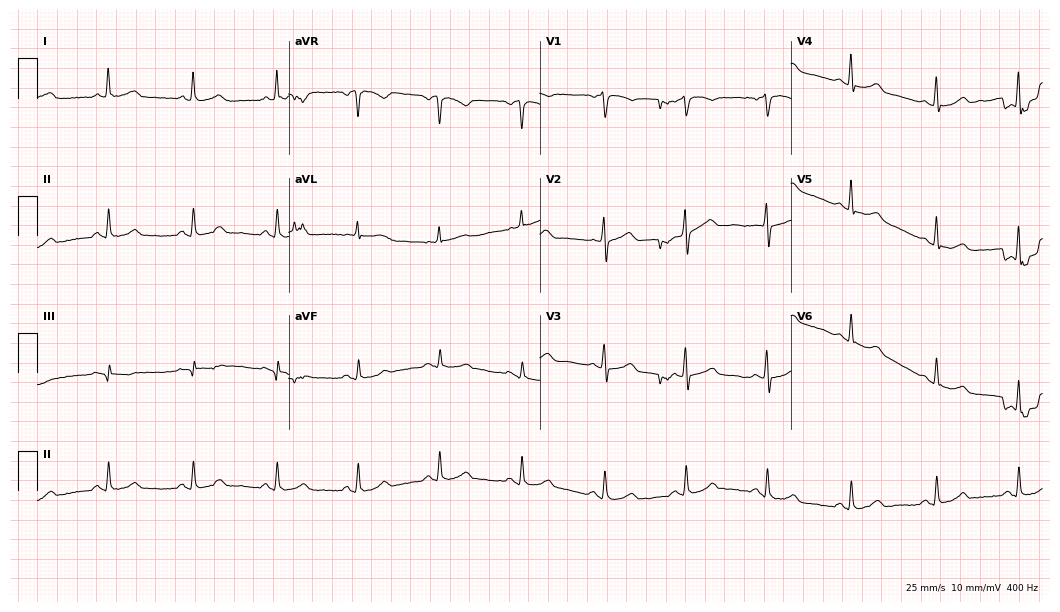
ECG (10.2-second recording at 400 Hz) — a 55-year-old woman. Labelled as a normal ECG.